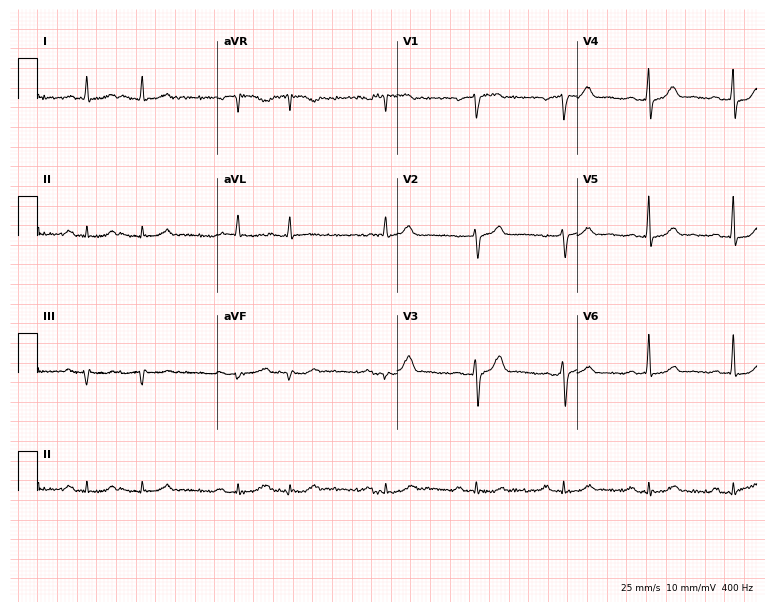
Electrocardiogram, a male, 69 years old. Of the six screened findings (first-degree AV block, right bundle branch block, left bundle branch block, sinus bradycardia, atrial fibrillation, sinus tachycardia), none is recorded.